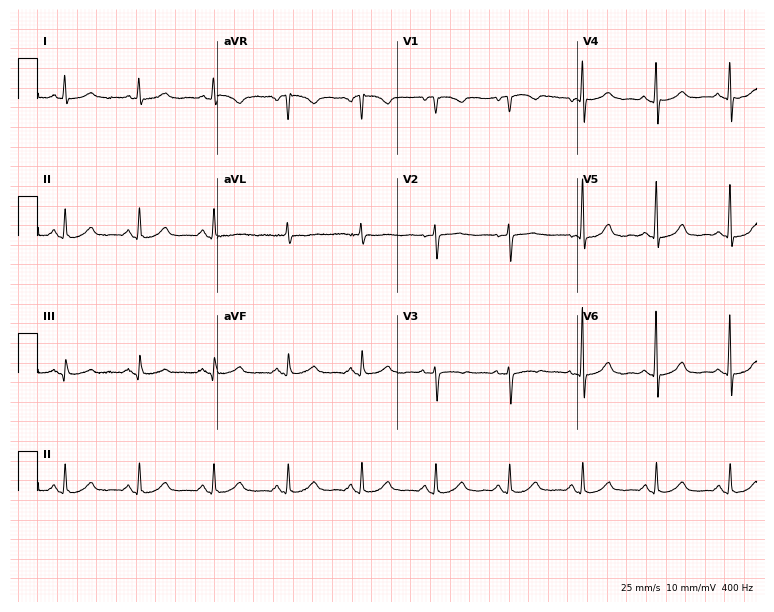
Electrocardiogram (7.3-second recording at 400 Hz), a 79-year-old woman. Overall reading on record: normal ECG.